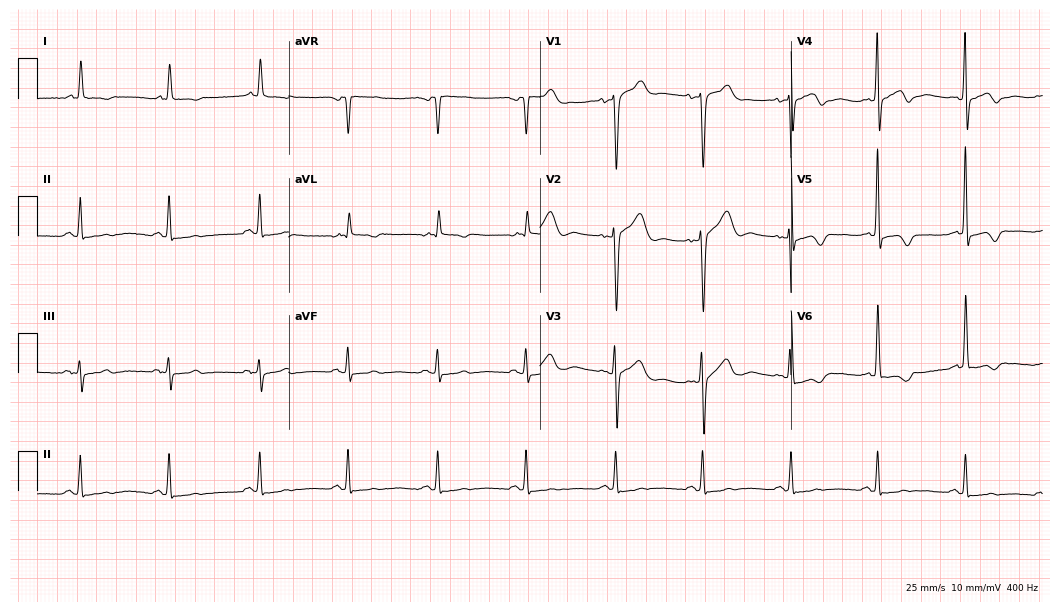
Electrocardiogram, a 73-year-old woman. Of the six screened findings (first-degree AV block, right bundle branch block, left bundle branch block, sinus bradycardia, atrial fibrillation, sinus tachycardia), none is recorded. Only these six findings were labelled.